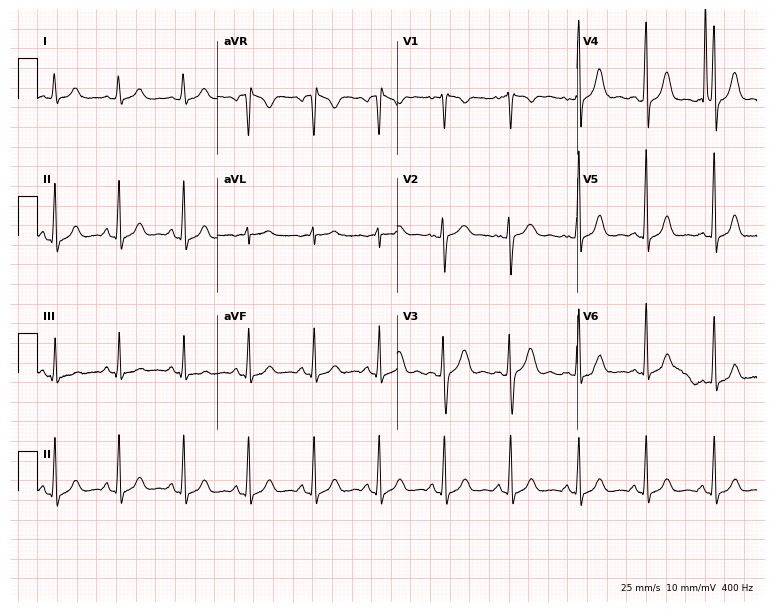
Resting 12-lead electrocardiogram. Patient: a 28-year-old female. Read as a normal ECG.